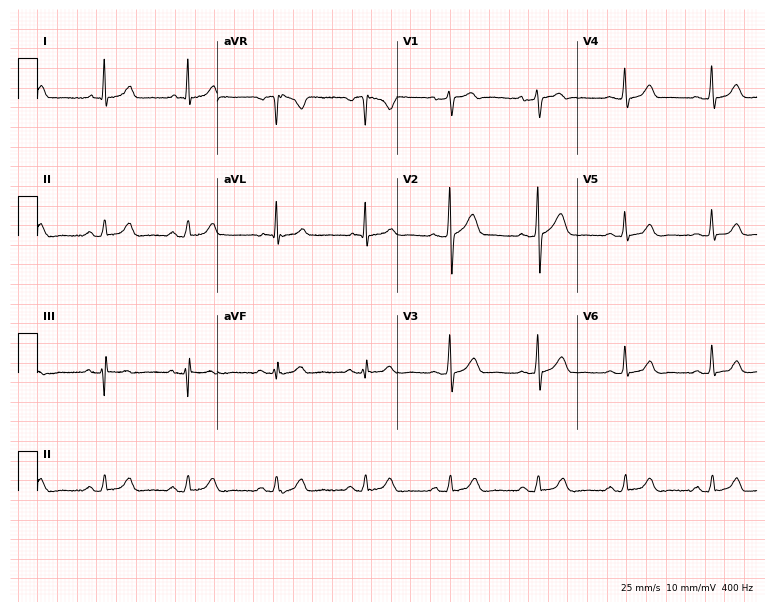
Electrocardiogram (7.3-second recording at 400 Hz), a 54-year-old male patient. Overall reading on record: normal ECG.